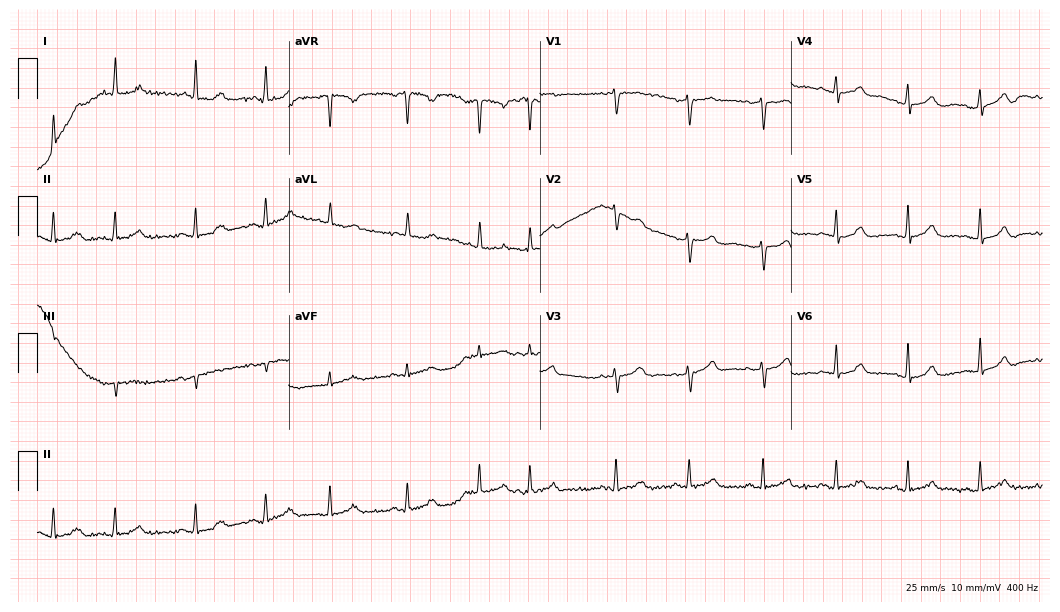
12-lead ECG (10.2-second recording at 400 Hz) from a woman, 81 years old. Screened for six findings — first-degree AV block, right bundle branch block, left bundle branch block, sinus bradycardia, atrial fibrillation, sinus tachycardia — none is recorded.